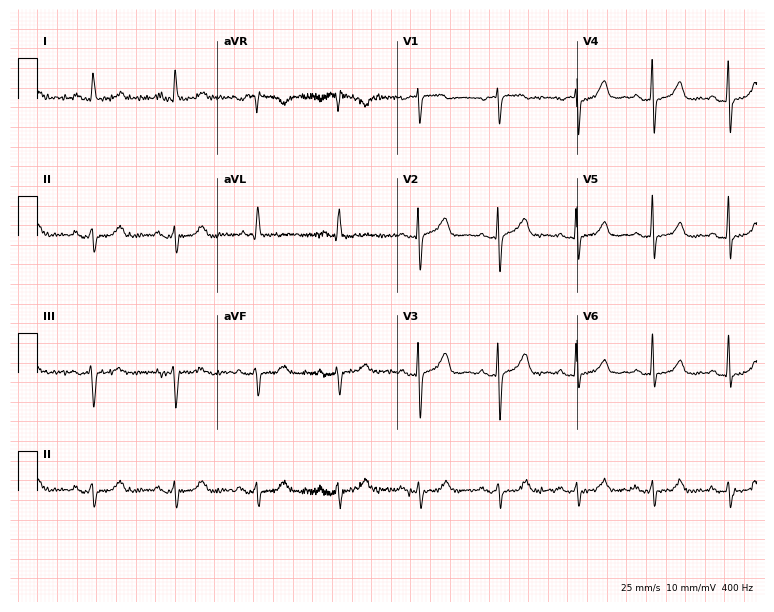
12-lead ECG from a 70-year-old woman. Screened for six findings — first-degree AV block, right bundle branch block, left bundle branch block, sinus bradycardia, atrial fibrillation, sinus tachycardia — none is recorded.